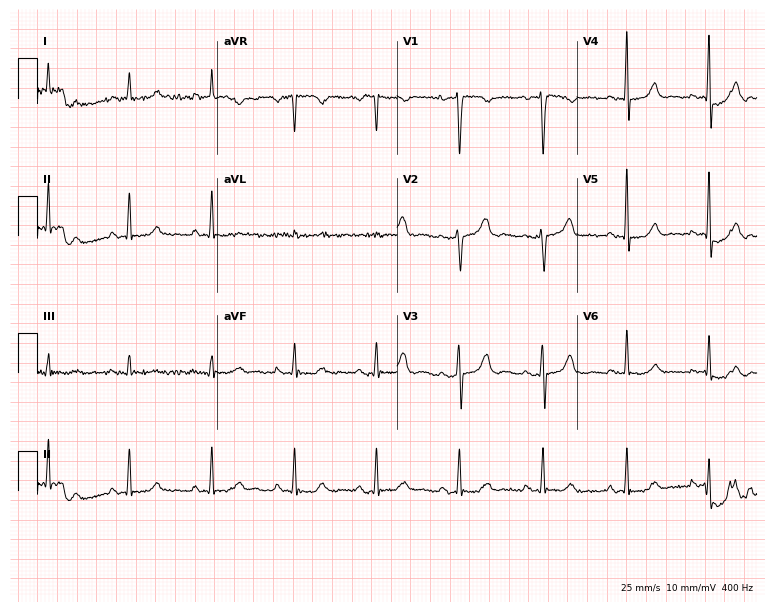
12-lead ECG from a female patient, 55 years old. No first-degree AV block, right bundle branch block (RBBB), left bundle branch block (LBBB), sinus bradycardia, atrial fibrillation (AF) or sinus tachycardia recorded for this tracing. Findings outside these six are not listed.